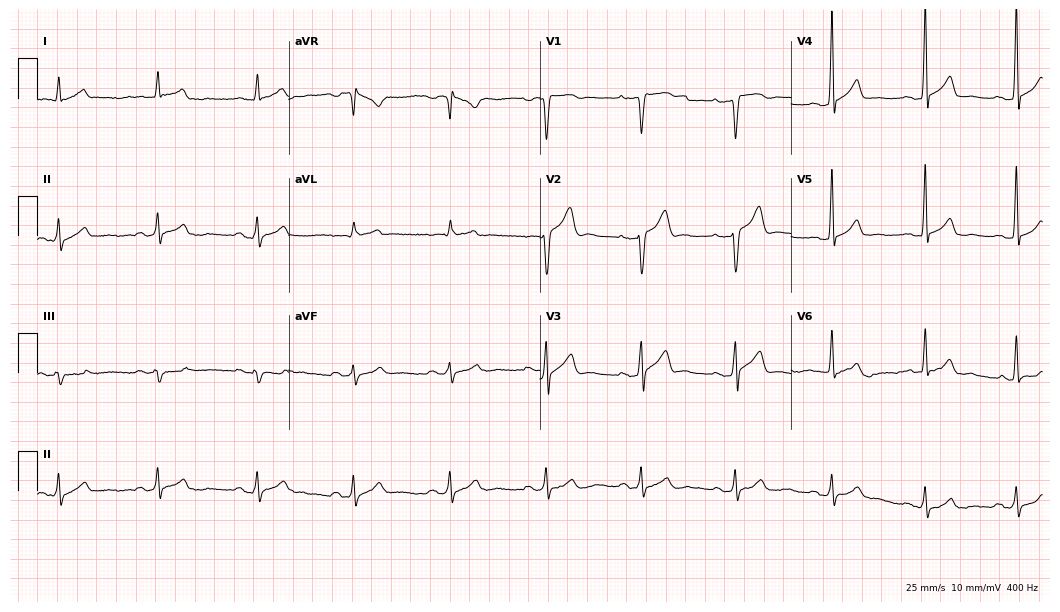
12-lead ECG from a male patient, 45 years old. Recorded interpretation: within normal limits.